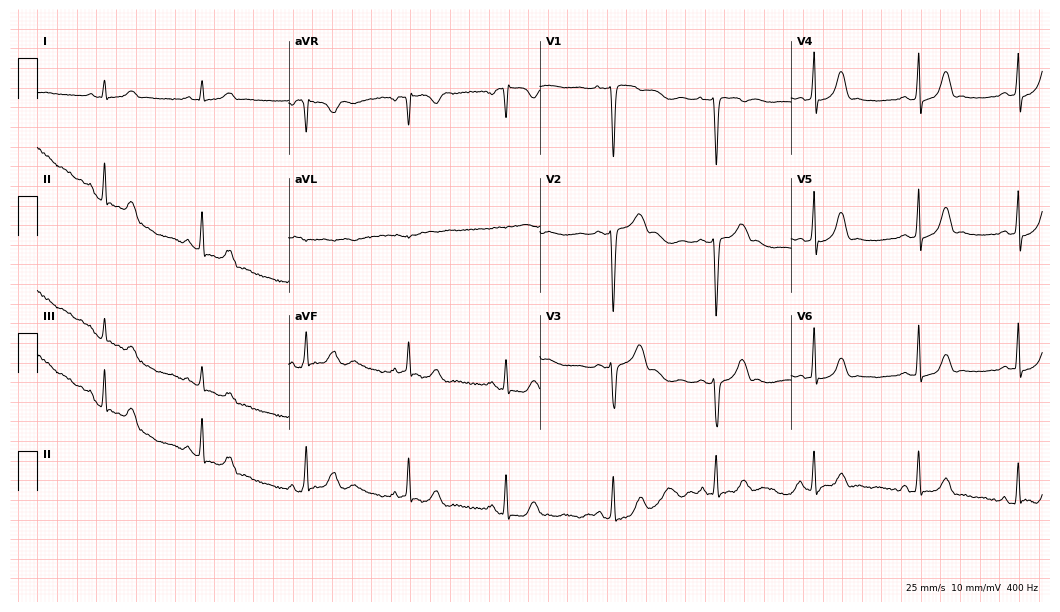
12-lead ECG (10.2-second recording at 400 Hz) from a 21-year-old female. Screened for six findings — first-degree AV block, right bundle branch block, left bundle branch block, sinus bradycardia, atrial fibrillation, sinus tachycardia — none is recorded. Other findings, if any, are not listed.